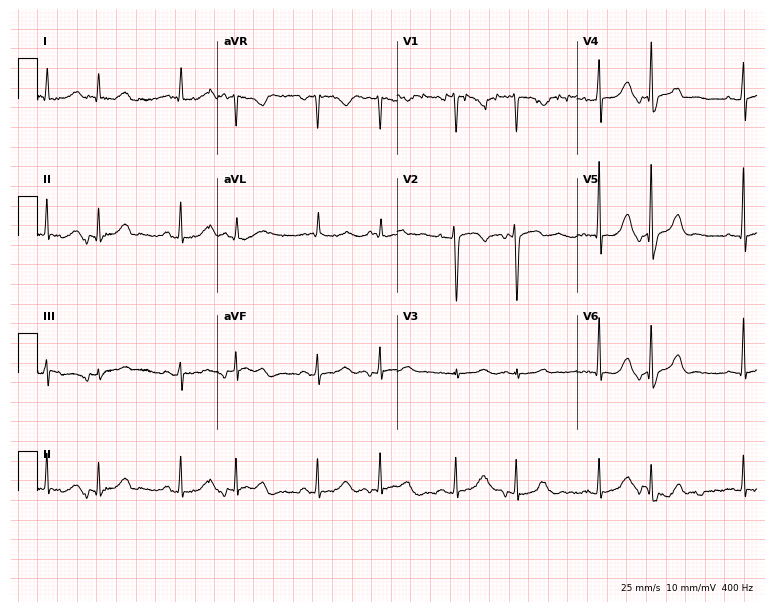
12-lead ECG from a female, 45 years old. No first-degree AV block, right bundle branch block, left bundle branch block, sinus bradycardia, atrial fibrillation or sinus tachycardia recorded for this tracing. Other findings, if any, are not listed.